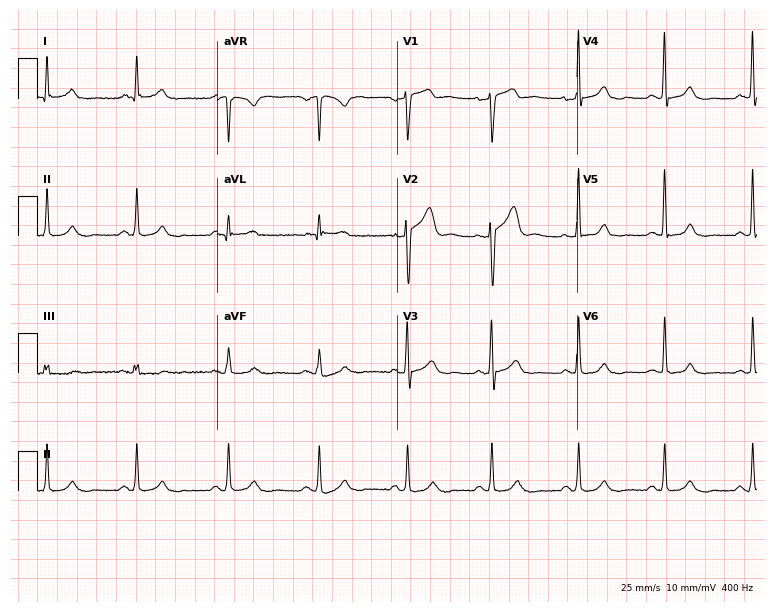
12-lead ECG (7.3-second recording at 400 Hz) from a man, 47 years old. Labelled as a normal ECG.